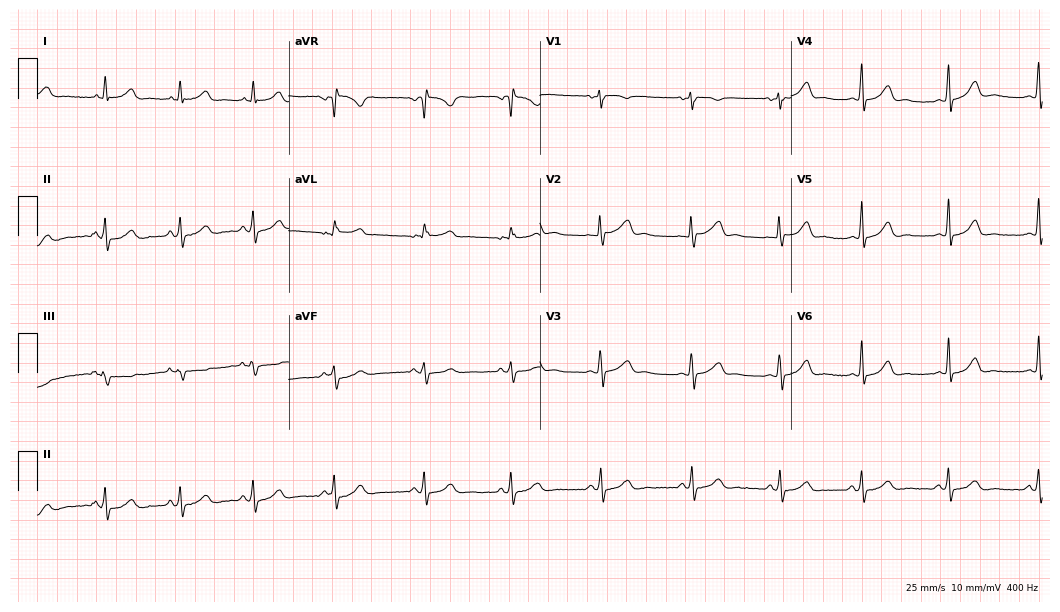
ECG (10.2-second recording at 400 Hz) — a 31-year-old female patient. Labelled as a normal ECG.